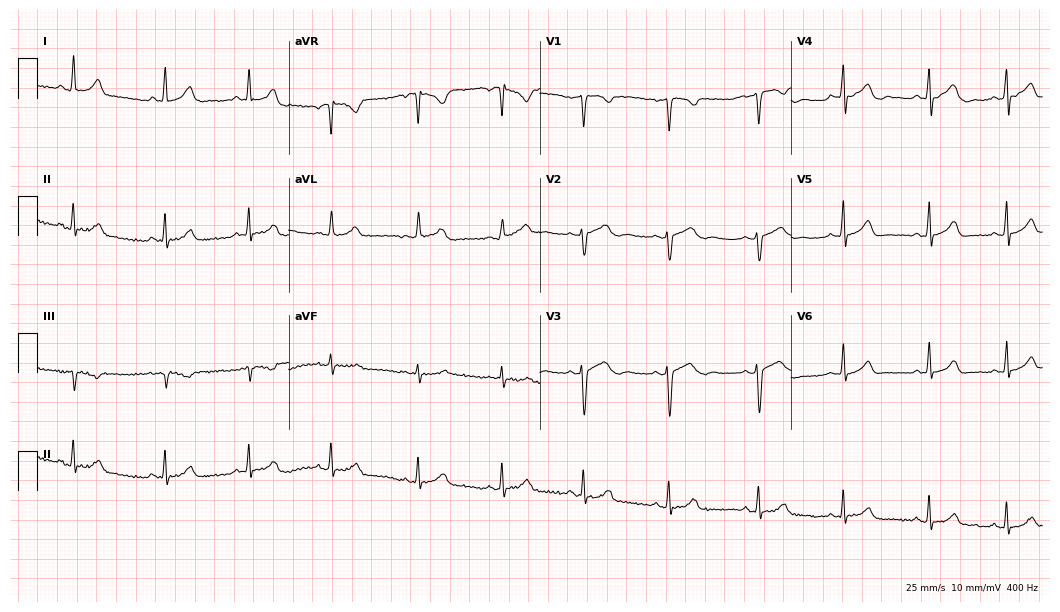
12-lead ECG from a female, 19 years old (10.2-second recording at 400 Hz). Recorded interpretation: within normal limits.